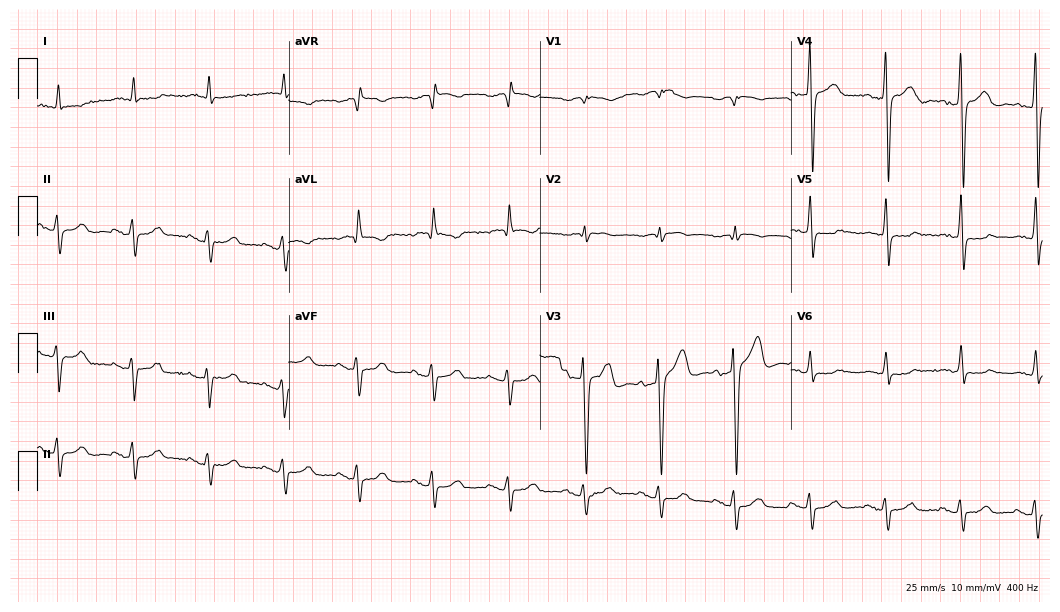
Standard 12-lead ECG recorded from a 76-year-old female patient. None of these six findings is recorded: first-degree AV block, right bundle branch block, left bundle branch block, sinus bradycardia, atrial fibrillation, sinus tachycardia. Only these six findings were labelled.